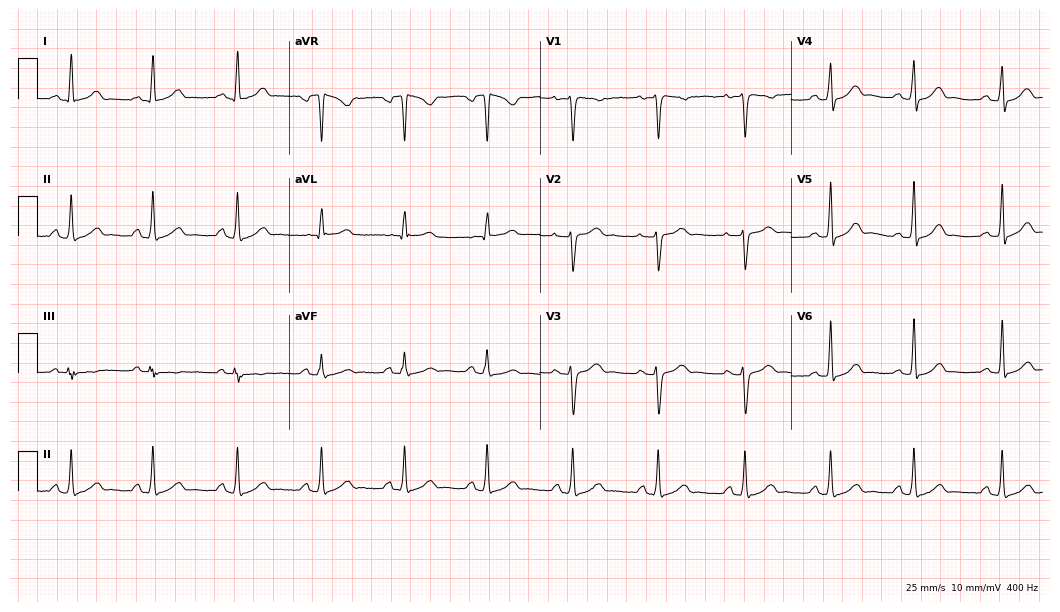
Electrocardiogram, a 37-year-old female. Overall reading on record: normal ECG.